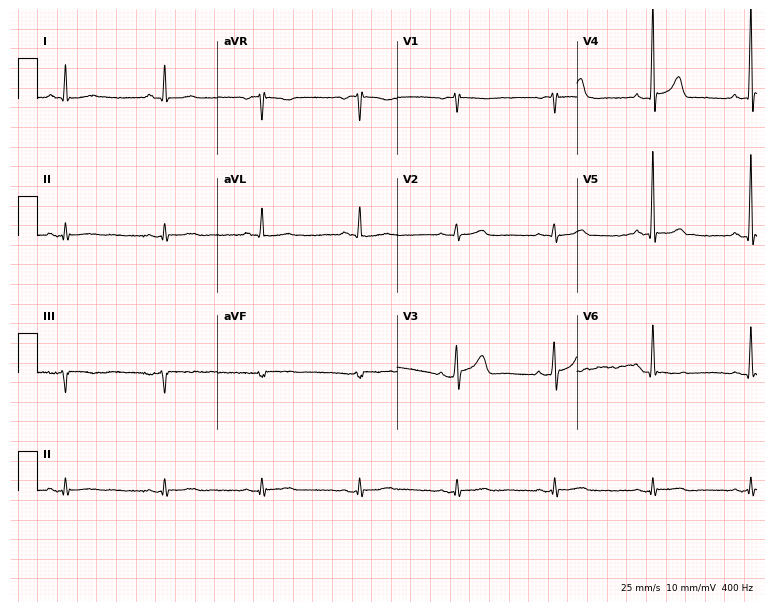
12-lead ECG (7.3-second recording at 400 Hz) from a man, 64 years old. Screened for six findings — first-degree AV block, right bundle branch block, left bundle branch block, sinus bradycardia, atrial fibrillation, sinus tachycardia — none is recorded.